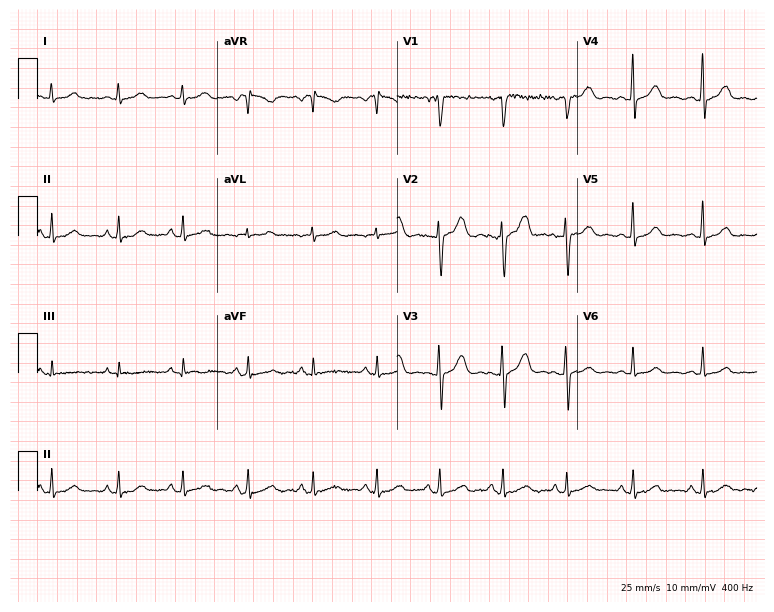
Resting 12-lead electrocardiogram. Patient: a 39-year-old female. None of these six findings is recorded: first-degree AV block, right bundle branch block, left bundle branch block, sinus bradycardia, atrial fibrillation, sinus tachycardia. Only these six findings were labelled.